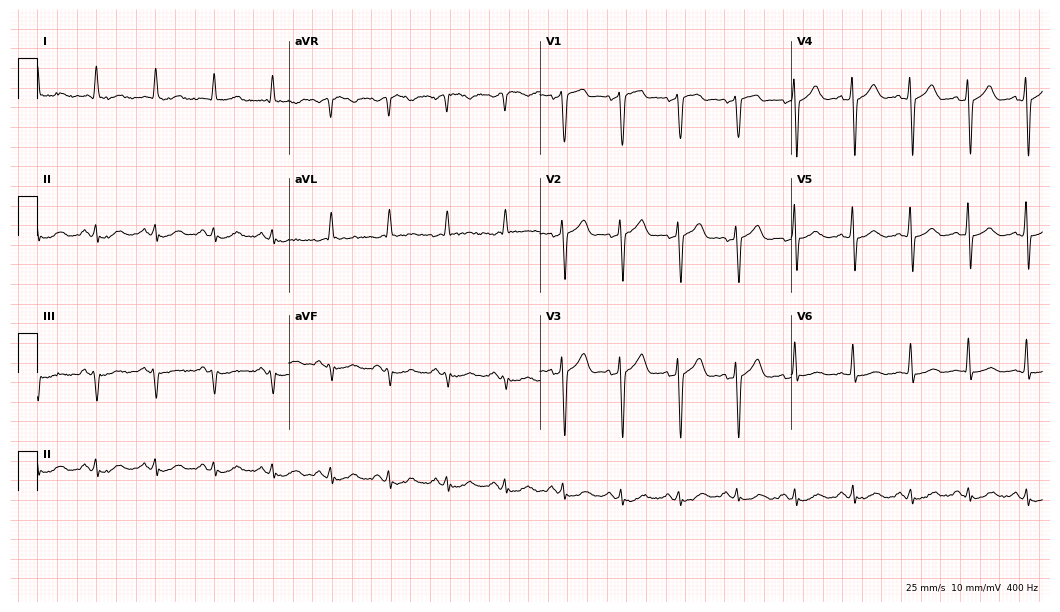
ECG — a male, 63 years old. Screened for six findings — first-degree AV block, right bundle branch block (RBBB), left bundle branch block (LBBB), sinus bradycardia, atrial fibrillation (AF), sinus tachycardia — none is recorded. Other findings, if any, are not listed.